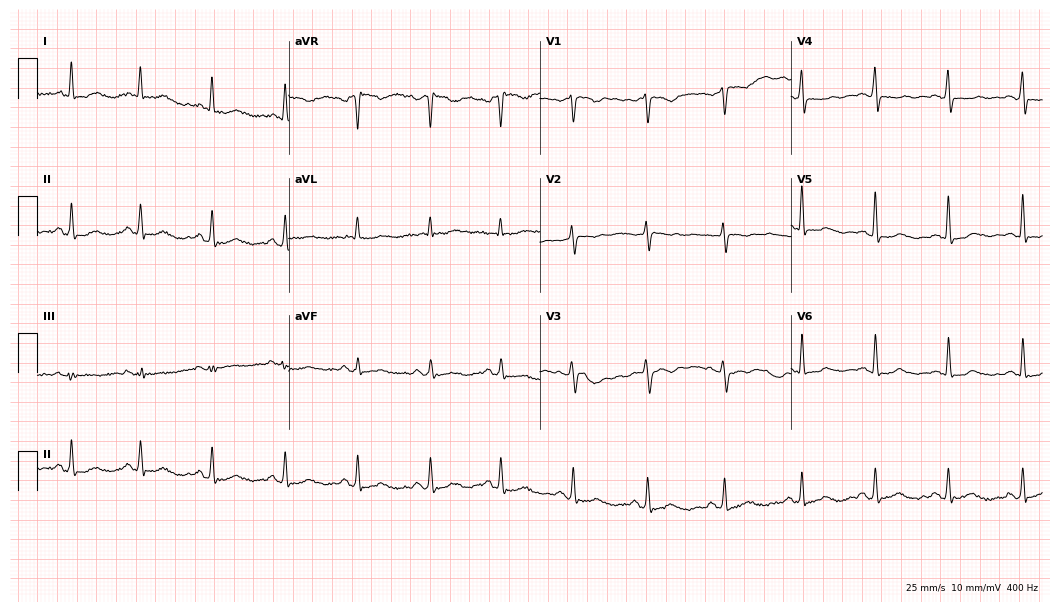
ECG — a 44-year-old female. Screened for six findings — first-degree AV block, right bundle branch block, left bundle branch block, sinus bradycardia, atrial fibrillation, sinus tachycardia — none is recorded. Other findings, if any, are not listed.